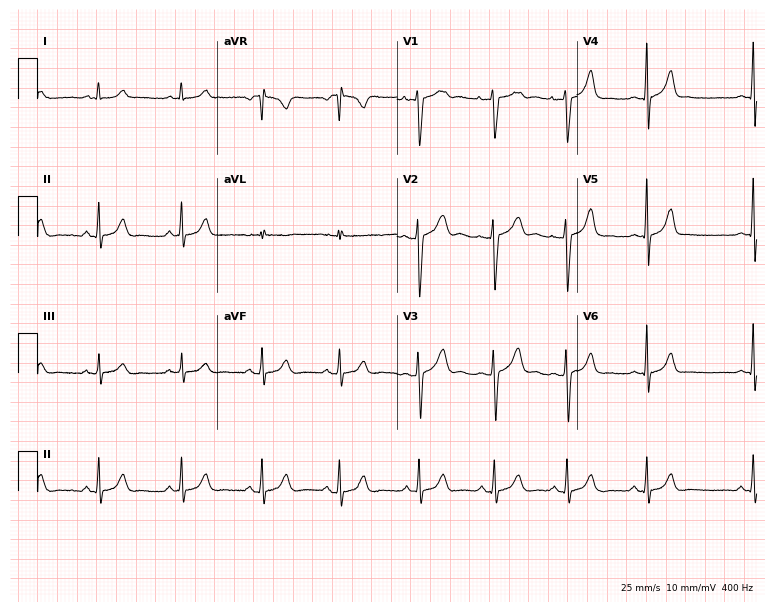
Electrocardiogram (7.3-second recording at 400 Hz), a female patient, 21 years old. Overall reading on record: normal ECG.